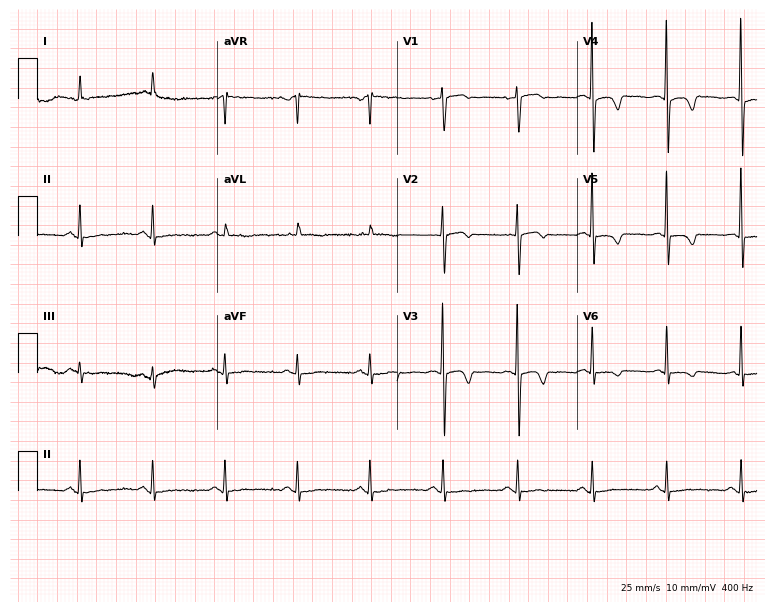
12-lead ECG from a female, 78 years old (7.3-second recording at 400 Hz). Recorded interpretation: within normal limits.